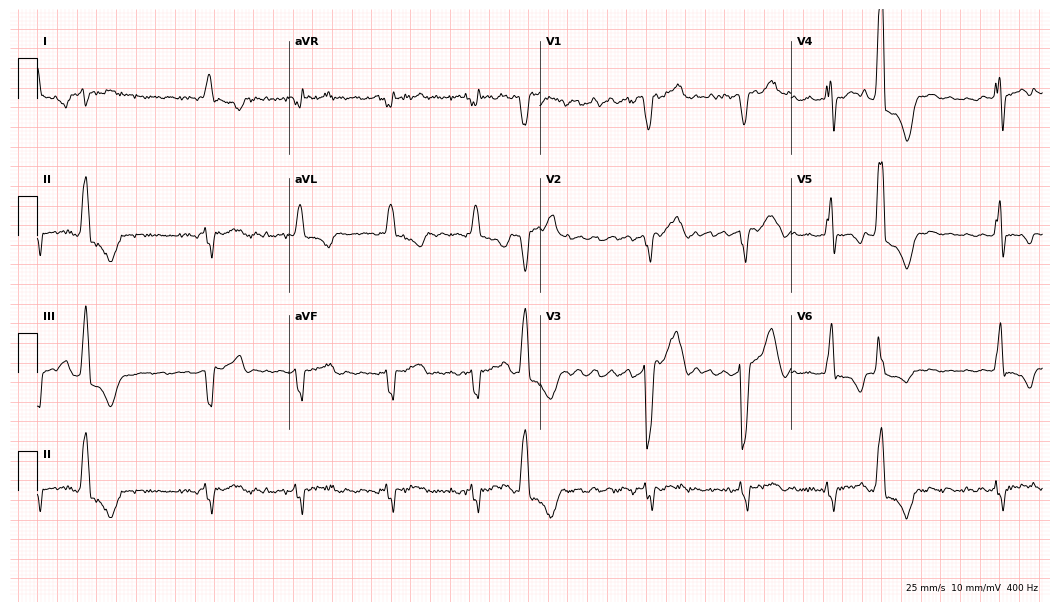
12-lead ECG (10.2-second recording at 400 Hz) from a male patient, 62 years old. Findings include left bundle branch block (LBBB), atrial fibrillation (AF).